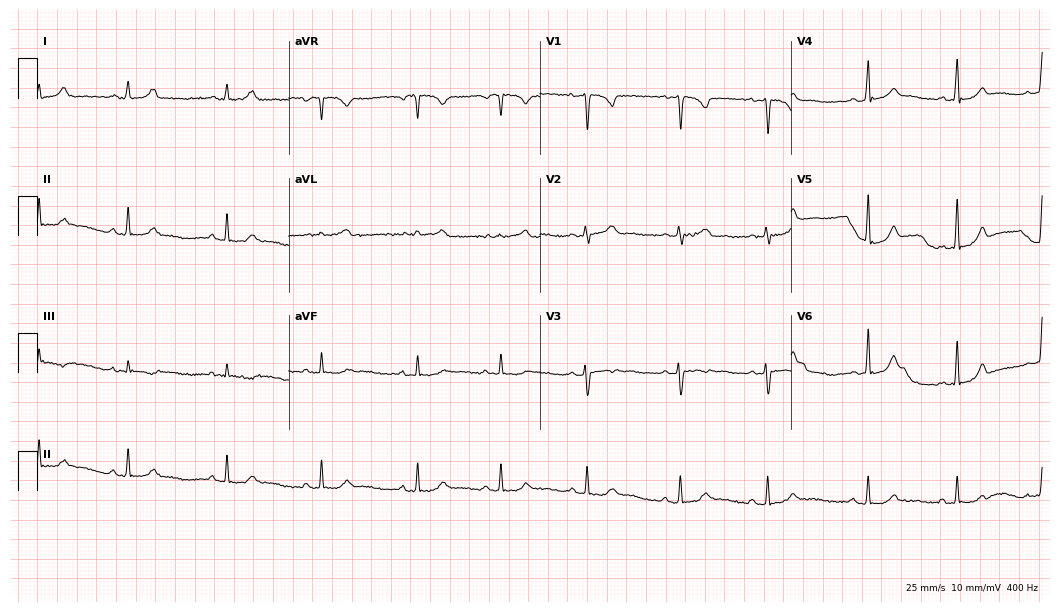
Resting 12-lead electrocardiogram (10.2-second recording at 400 Hz). Patient: a 43-year-old woman. None of these six findings is recorded: first-degree AV block, right bundle branch block, left bundle branch block, sinus bradycardia, atrial fibrillation, sinus tachycardia.